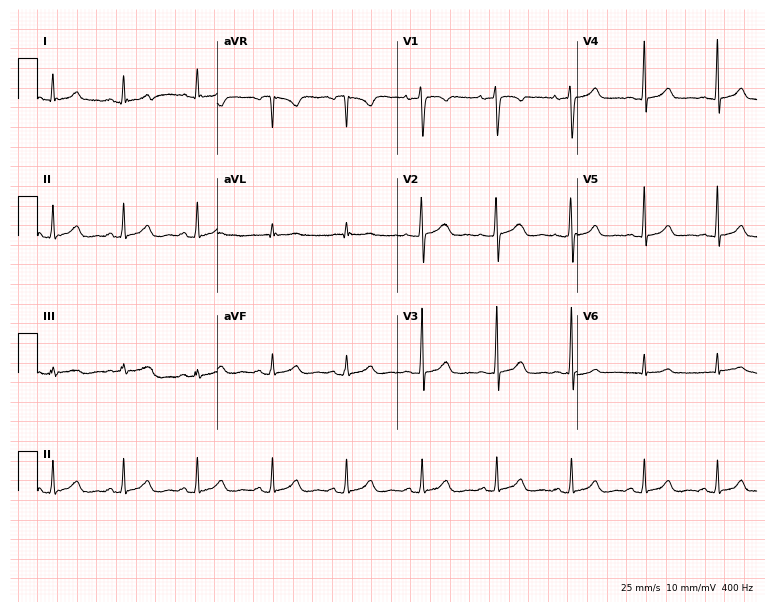
12-lead ECG from a 37-year-old woman (7.3-second recording at 400 Hz). Recorded interpretation: within normal limits.